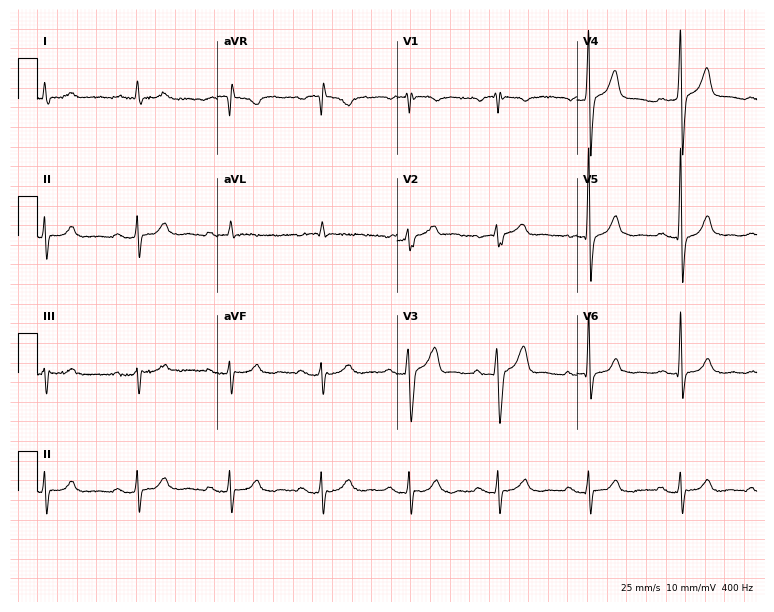
Standard 12-lead ECG recorded from a man, 75 years old. None of these six findings is recorded: first-degree AV block, right bundle branch block, left bundle branch block, sinus bradycardia, atrial fibrillation, sinus tachycardia.